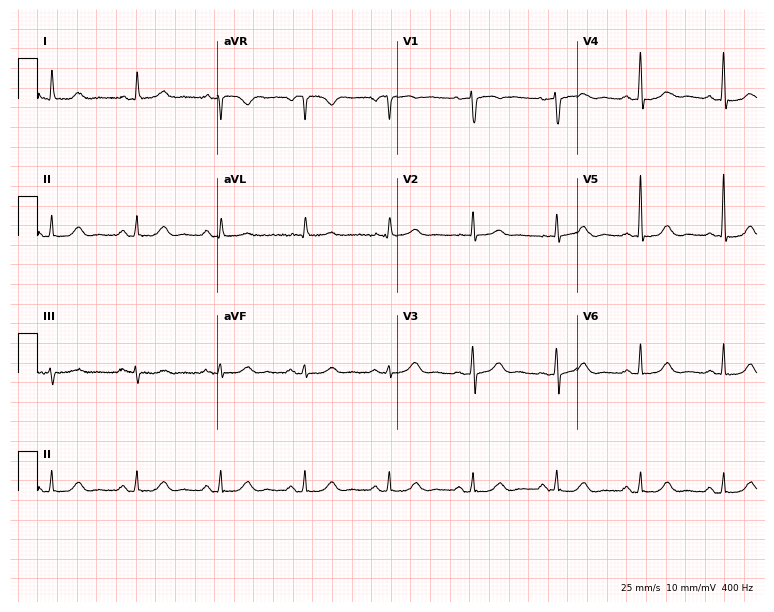
Resting 12-lead electrocardiogram (7.3-second recording at 400 Hz). Patient: an 81-year-old female. Read as a normal ECG.